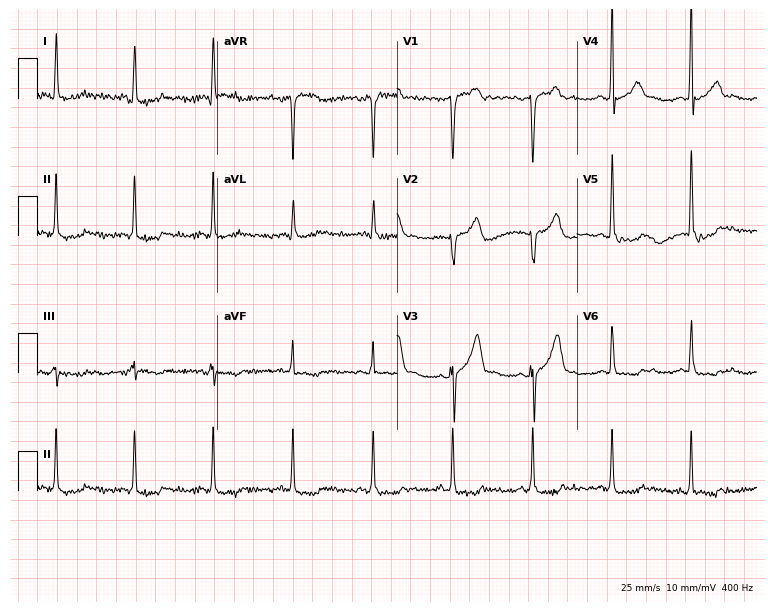
Electrocardiogram, a 50-year-old male. Overall reading on record: normal ECG.